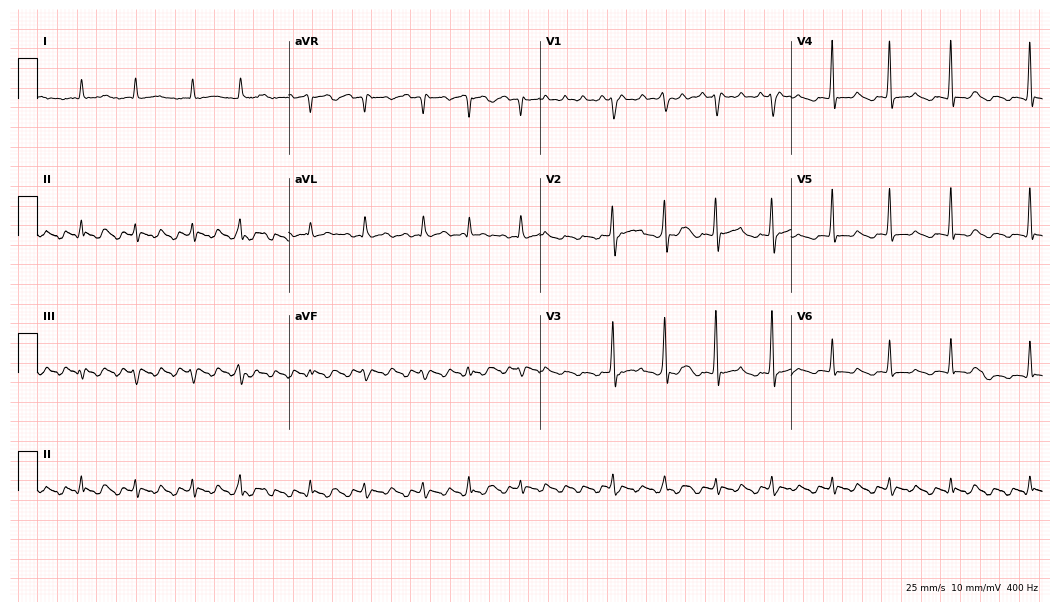
Electrocardiogram, a man, 75 years old. Of the six screened findings (first-degree AV block, right bundle branch block (RBBB), left bundle branch block (LBBB), sinus bradycardia, atrial fibrillation (AF), sinus tachycardia), none is recorded.